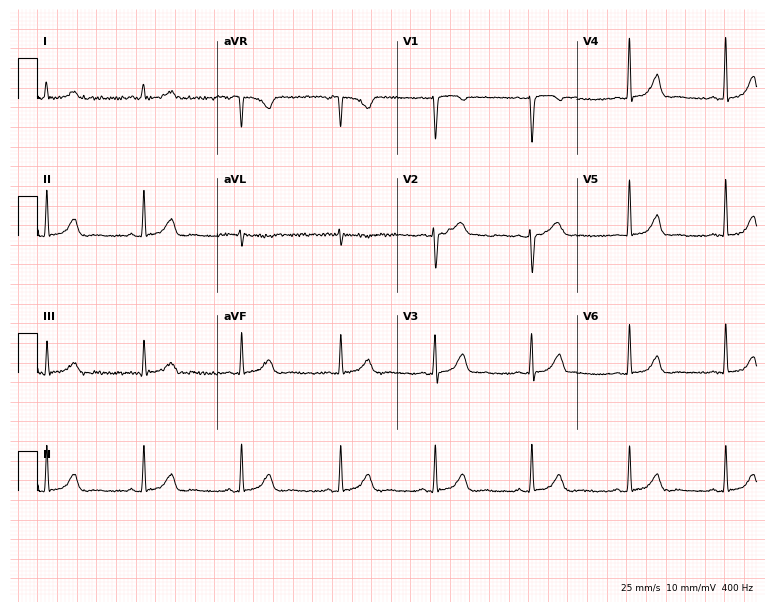
Resting 12-lead electrocardiogram (7.3-second recording at 400 Hz). Patient: a woman, 50 years old. None of these six findings is recorded: first-degree AV block, right bundle branch block, left bundle branch block, sinus bradycardia, atrial fibrillation, sinus tachycardia.